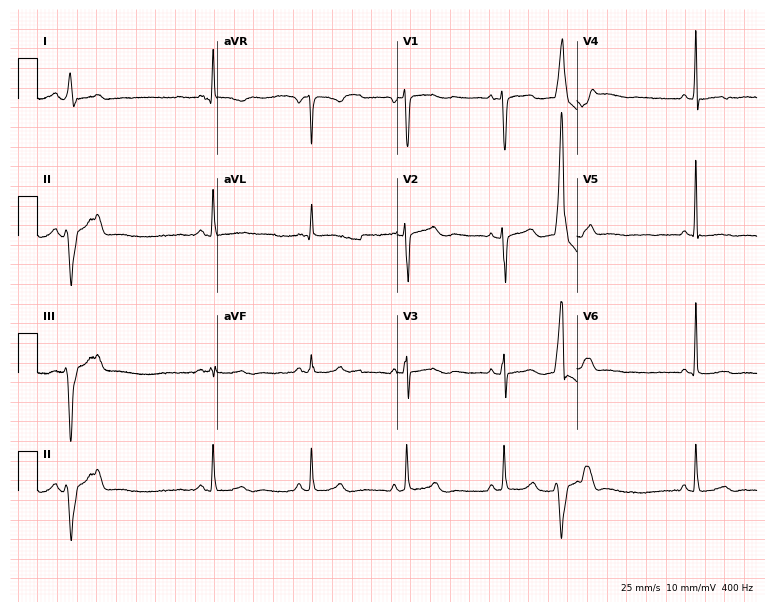
Standard 12-lead ECG recorded from a 73-year-old male patient. None of these six findings is recorded: first-degree AV block, right bundle branch block (RBBB), left bundle branch block (LBBB), sinus bradycardia, atrial fibrillation (AF), sinus tachycardia. Findings outside these six are not listed.